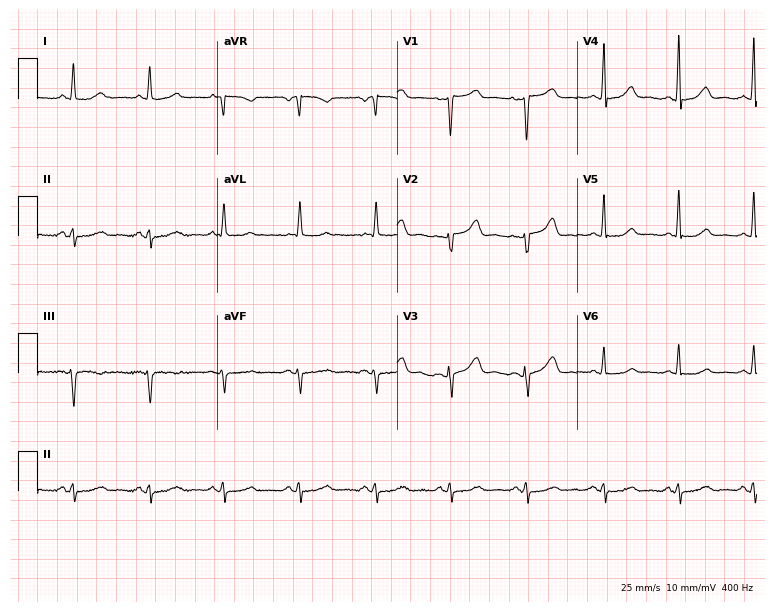
ECG — a female, 61 years old. Labelled as a normal ECG.